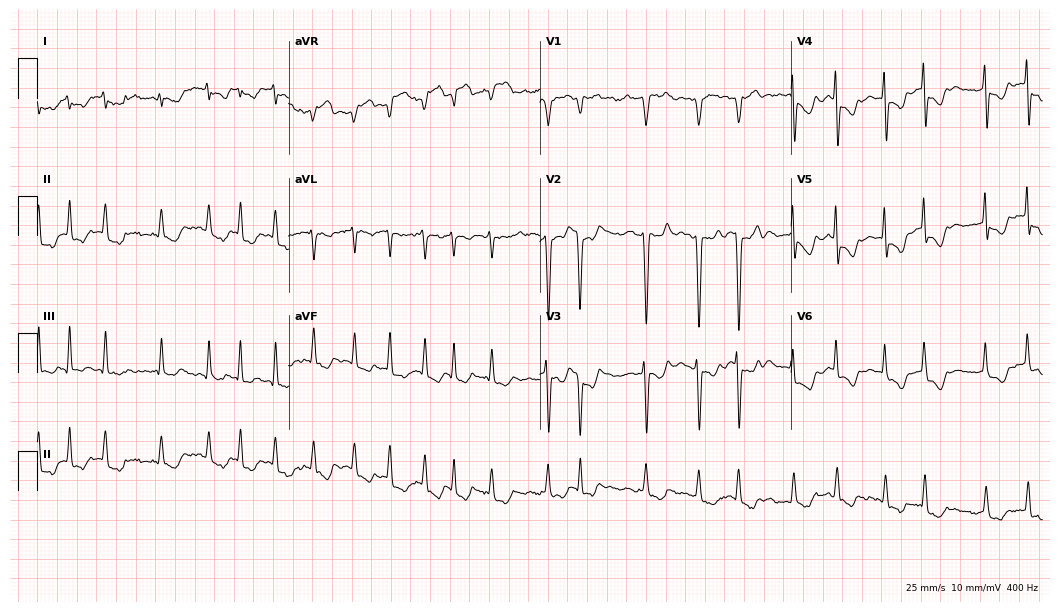
Standard 12-lead ECG recorded from a 61-year-old female. None of these six findings is recorded: first-degree AV block, right bundle branch block, left bundle branch block, sinus bradycardia, atrial fibrillation, sinus tachycardia.